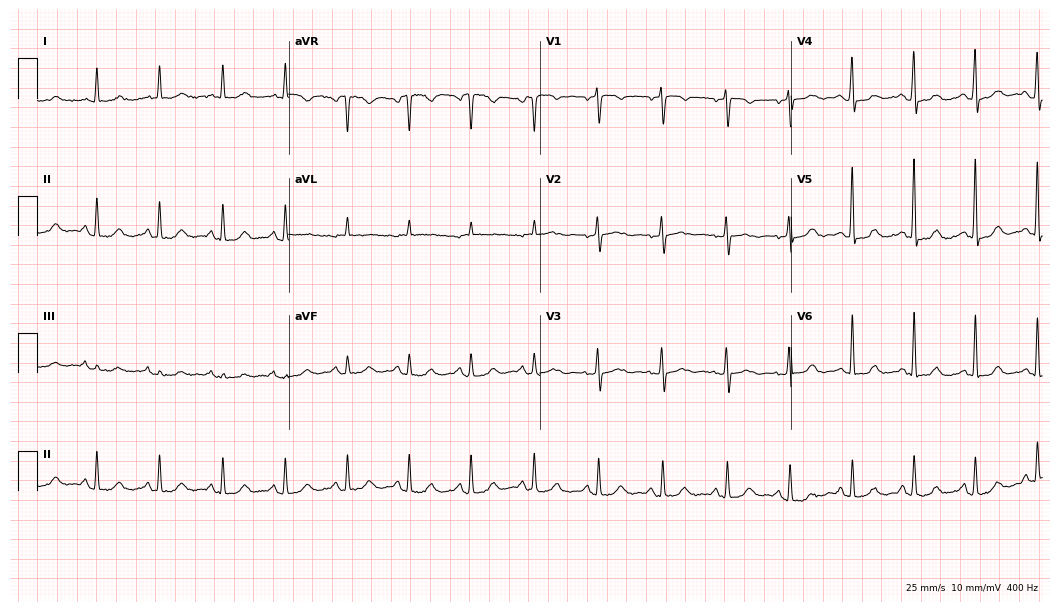
12-lead ECG from a 69-year-old woman (10.2-second recording at 400 Hz). Recorded interpretation: within normal limits.